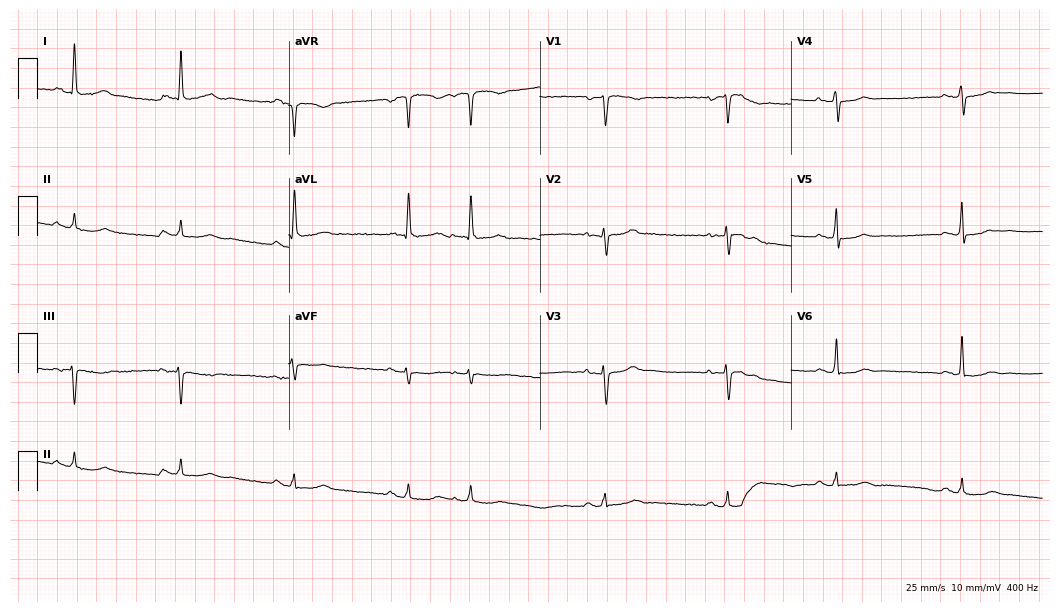
Electrocardiogram (10.2-second recording at 400 Hz), a female patient, 70 years old. Of the six screened findings (first-degree AV block, right bundle branch block (RBBB), left bundle branch block (LBBB), sinus bradycardia, atrial fibrillation (AF), sinus tachycardia), none is recorded. Findings outside these six are not listed.